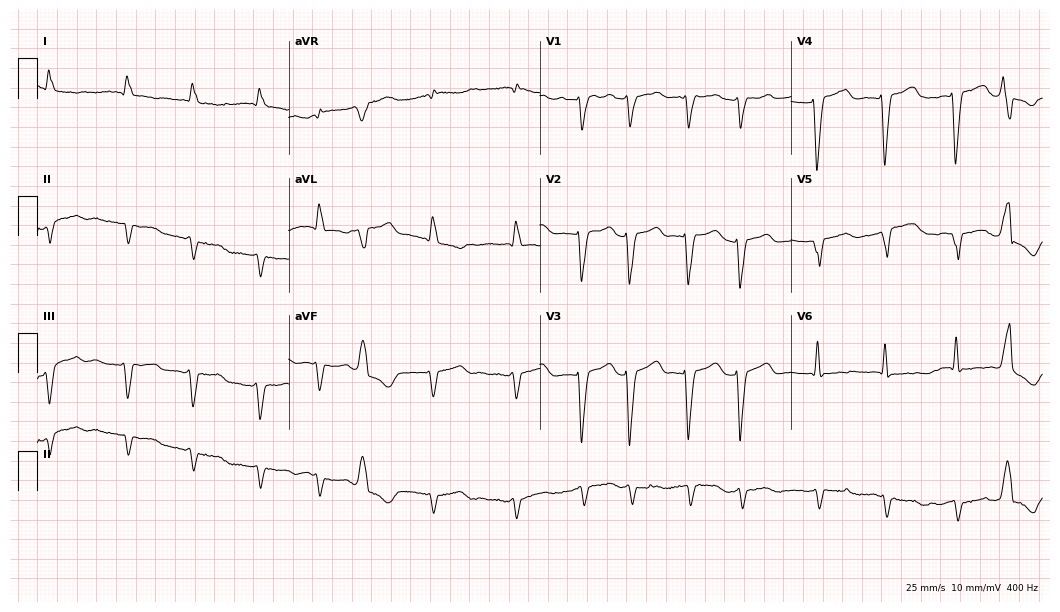
Resting 12-lead electrocardiogram. Patient: a female, 84 years old. The tracing shows atrial fibrillation (AF).